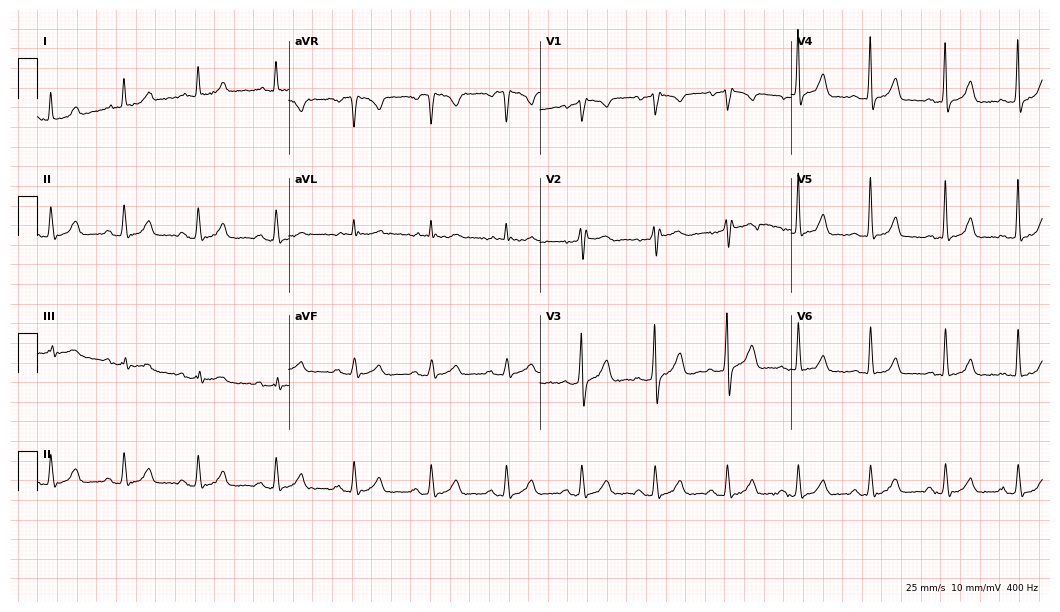
Standard 12-lead ECG recorded from a 49-year-old male. Read as a normal ECG.